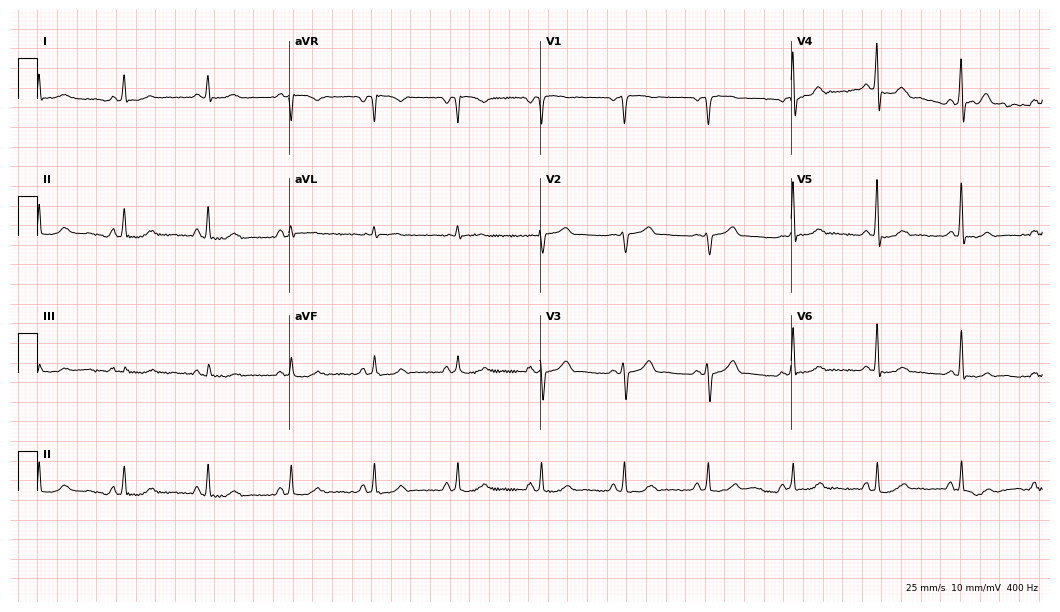
12-lead ECG (10.2-second recording at 400 Hz) from a male patient, 63 years old. Labelled as a normal ECG.